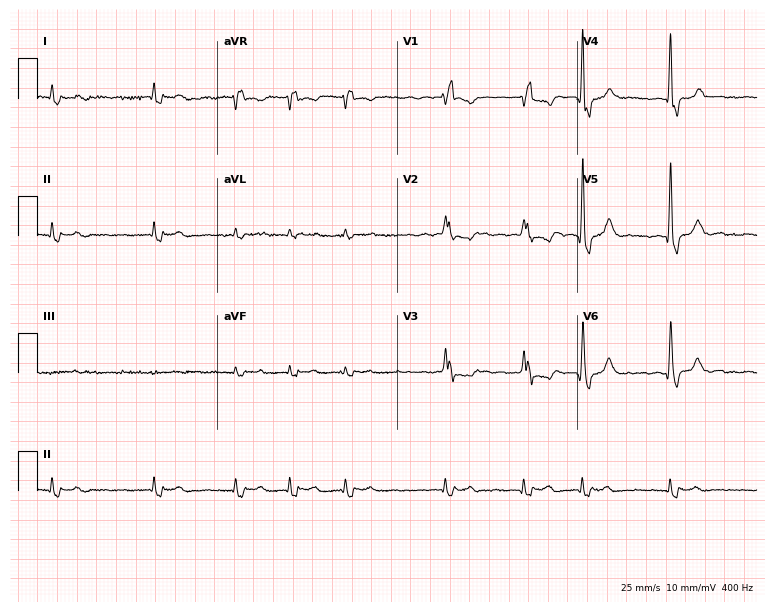
Resting 12-lead electrocardiogram. Patient: a female, 71 years old. The tracing shows right bundle branch block (RBBB), atrial fibrillation (AF).